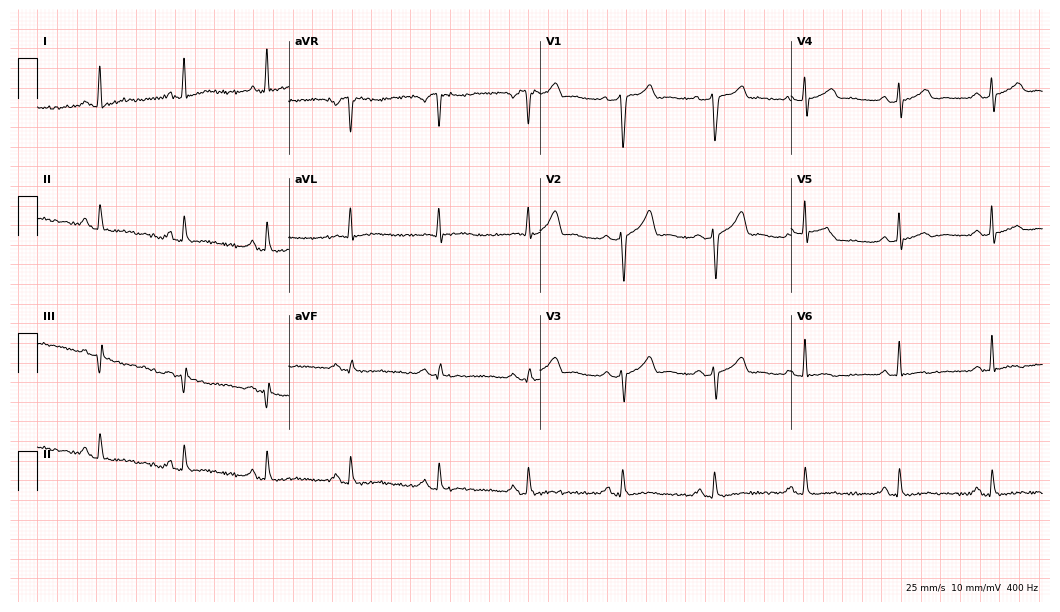
ECG — a 60-year-old male. Labelled as a normal ECG.